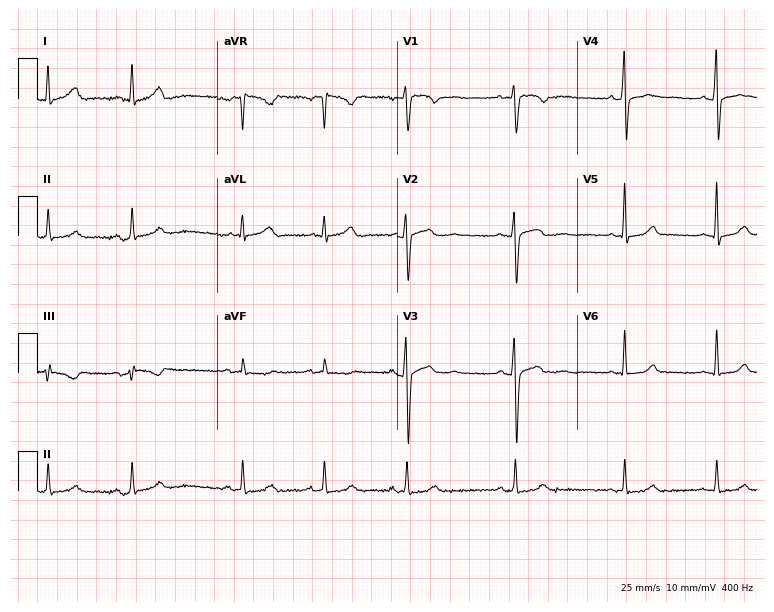
Standard 12-lead ECG recorded from a woman, 21 years old. None of these six findings is recorded: first-degree AV block, right bundle branch block (RBBB), left bundle branch block (LBBB), sinus bradycardia, atrial fibrillation (AF), sinus tachycardia.